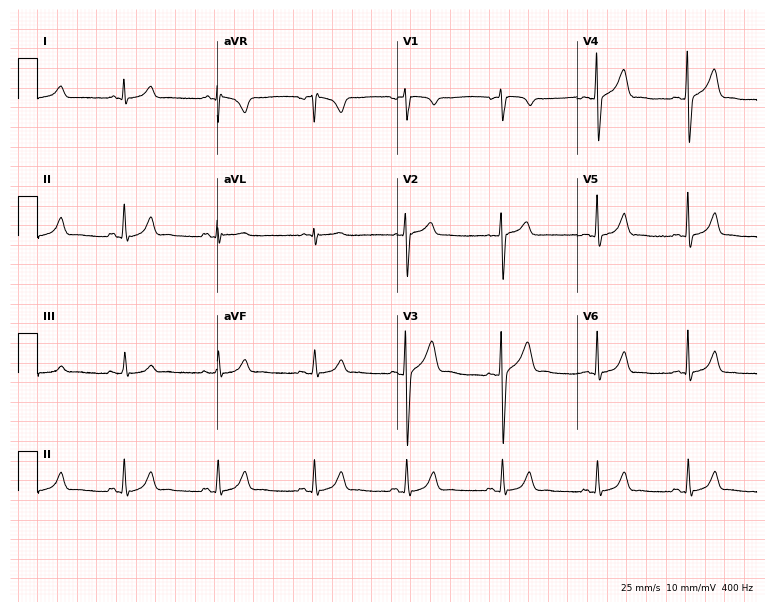
Electrocardiogram (7.3-second recording at 400 Hz), a 45-year-old male. Overall reading on record: normal ECG.